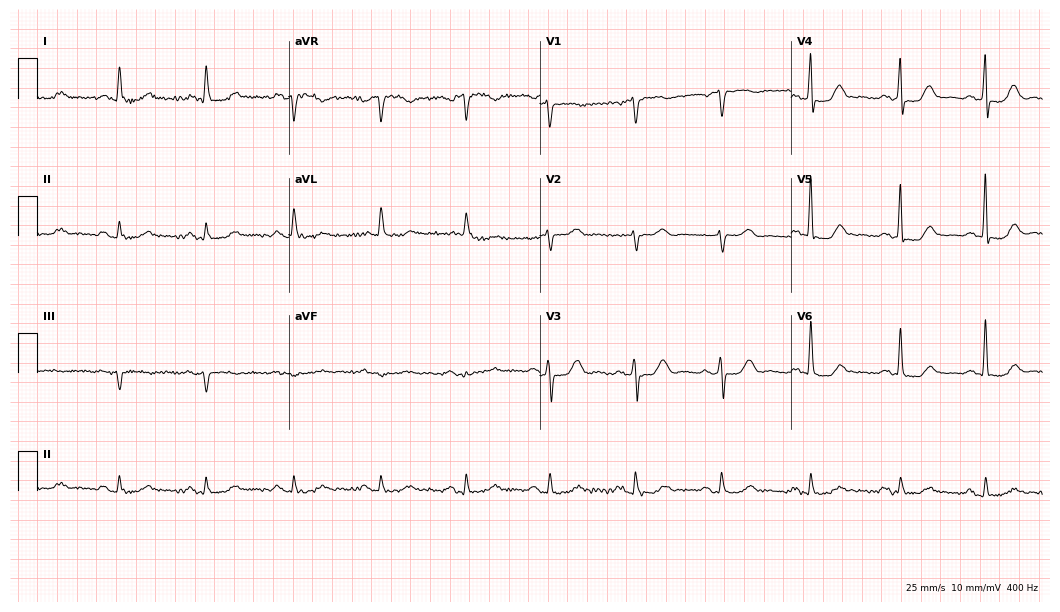
Resting 12-lead electrocardiogram (10.2-second recording at 400 Hz). Patient: a 73-year-old female. None of these six findings is recorded: first-degree AV block, right bundle branch block (RBBB), left bundle branch block (LBBB), sinus bradycardia, atrial fibrillation (AF), sinus tachycardia. Only these six findings were labelled.